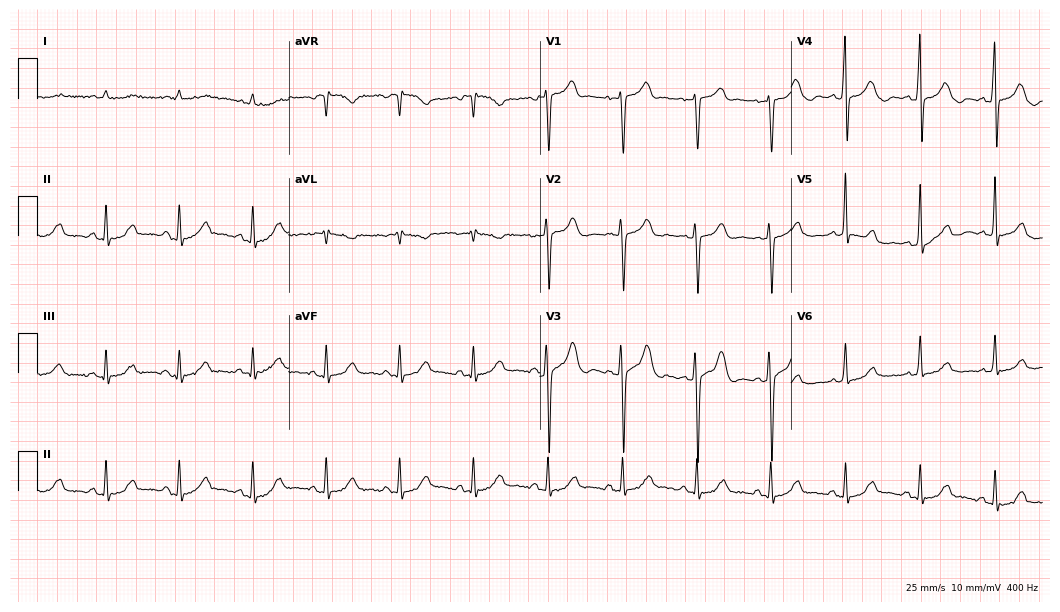
Standard 12-lead ECG recorded from a 79-year-old female (10.2-second recording at 400 Hz). None of these six findings is recorded: first-degree AV block, right bundle branch block (RBBB), left bundle branch block (LBBB), sinus bradycardia, atrial fibrillation (AF), sinus tachycardia. Findings outside these six are not listed.